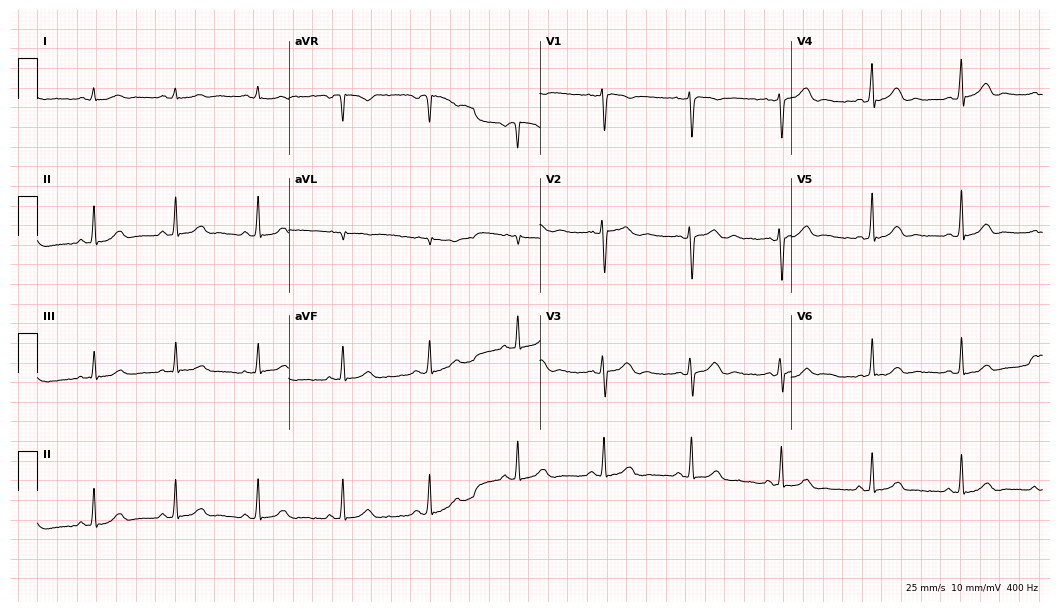
ECG — a female patient, 24 years old. Screened for six findings — first-degree AV block, right bundle branch block (RBBB), left bundle branch block (LBBB), sinus bradycardia, atrial fibrillation (AF), sinus tachycardia — none is recorded. Other findings, if any, are not listed.